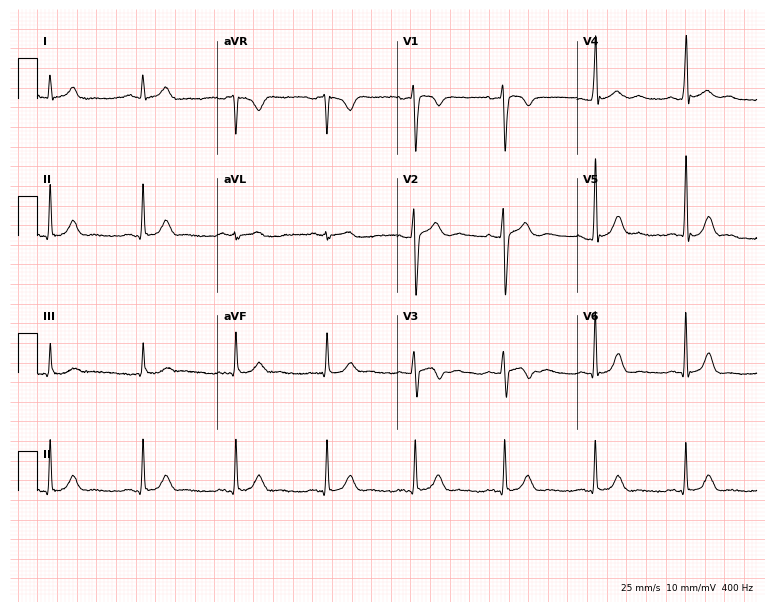
Standard 12-lead ECG recorded from a man, 33 years old. None of these six findings is recorded: first-degree AV block, right bundle branch block, left bundle branch block, sinus bradycardia, atrial fibrillation, sinus tachycardia. Findings outside these six are not listed.